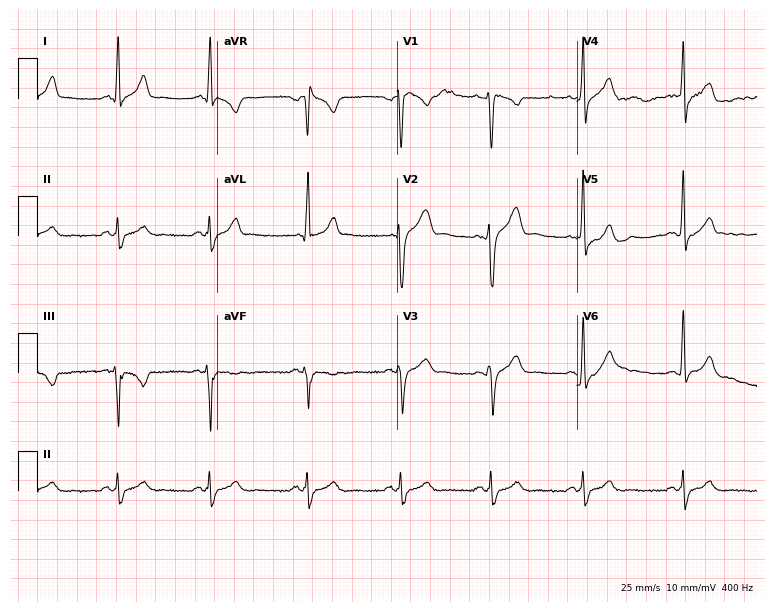
12-lead ECG from a 29-year-old male (7.3-second recording at 400 Hz). No first-degree AV block, right bundle branch block, left bundle branch block, sinus bradycardia, atrial fibrillation or sinus tachycardia recorded for this tracing.